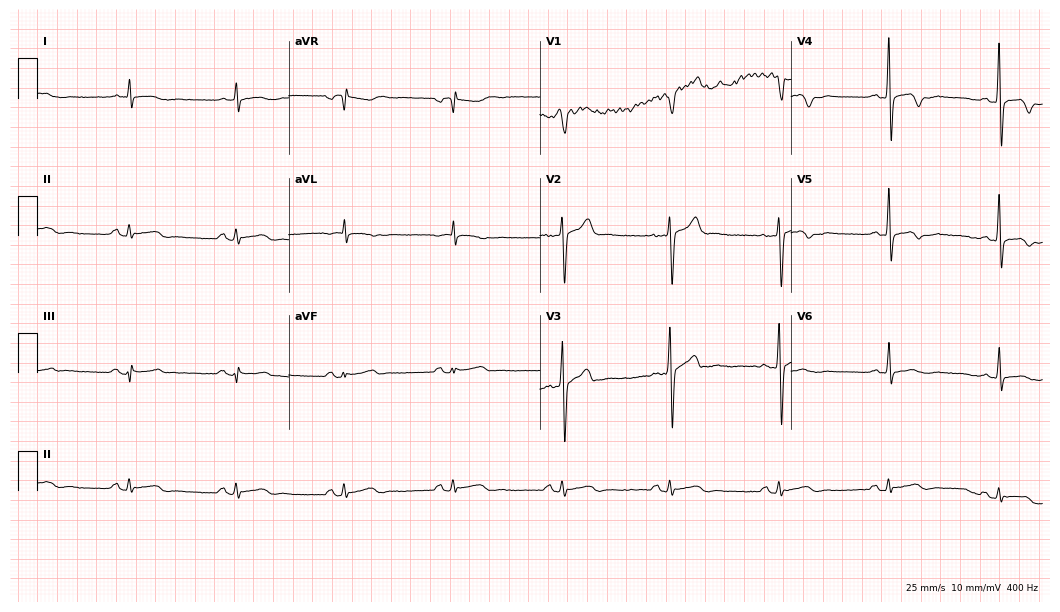
12-lead ECG from a man, 46 years old (10.2-second recording at 400 Hz). No first-degree AV block, right bundle branch block (RBBB), left bundle branch block (LBBB), sinus bradycardia, atrial fibrillation (AF) or sinus tachycardia recorded for this tracing. Other findings, if any, are not listed.